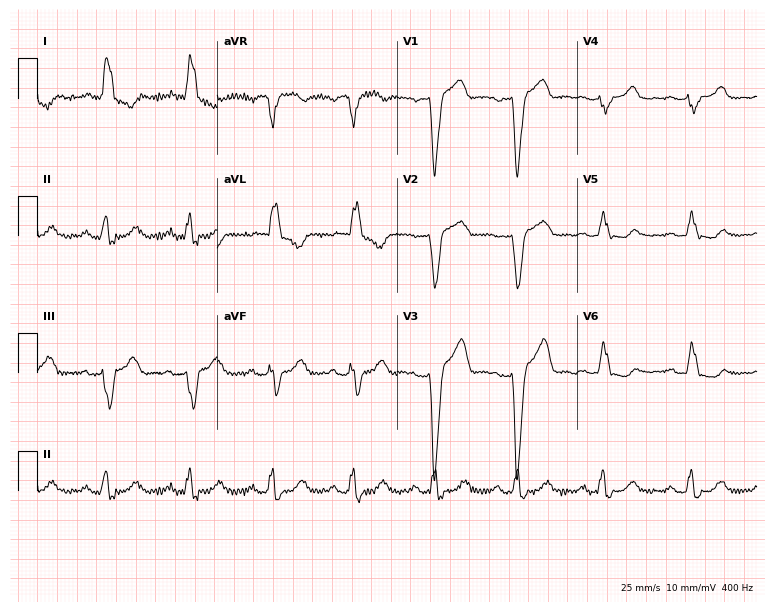
Standard 12-lead ECG recorded from a female patient, 62 years old (7.3-second recording at 400 Hz). The tracing shows first-degree AV block, left bundle branch block (LBBB).